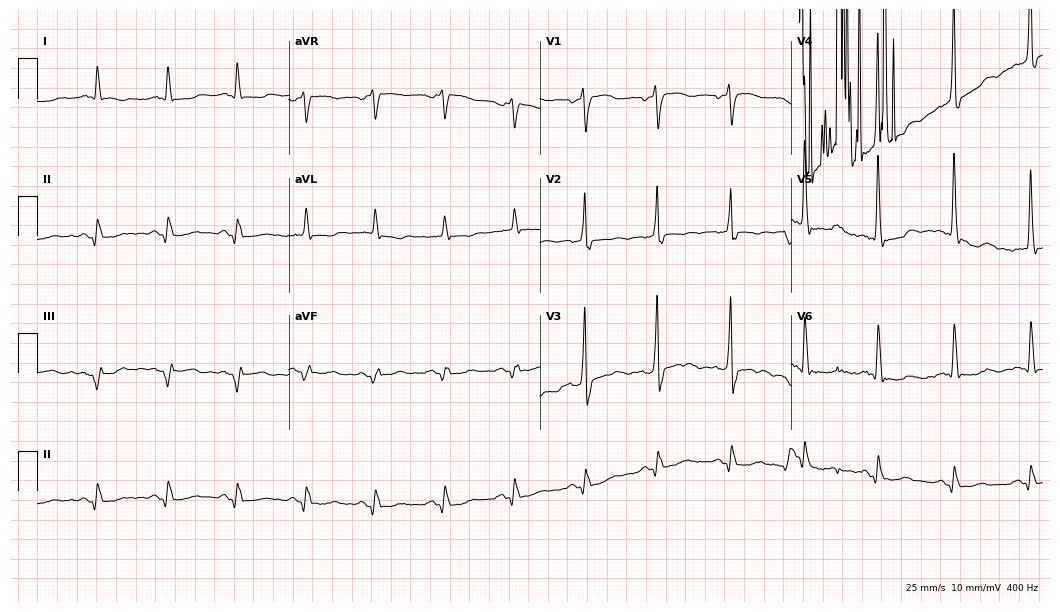
Electrocardiogram (10.2-second recording at 400 Hz), a male patient, 76 years old. Of the six screened findings (first-degree AV block, right bundle branch block, left bundle branch block, sinus bradycardia, atrial fibrillation, sinus tachycardia), none is recorded. Findings outside these six are not listed.